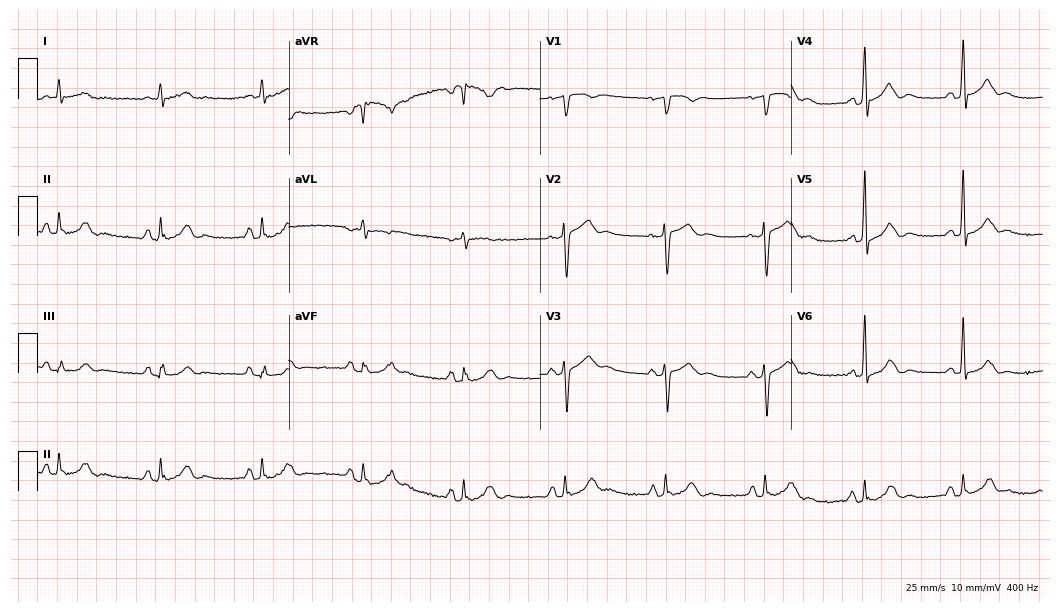
12-lead ECG (10.2-second recording at 400 Hz) from a 61-year-old male. Labelled as a normal ECG.